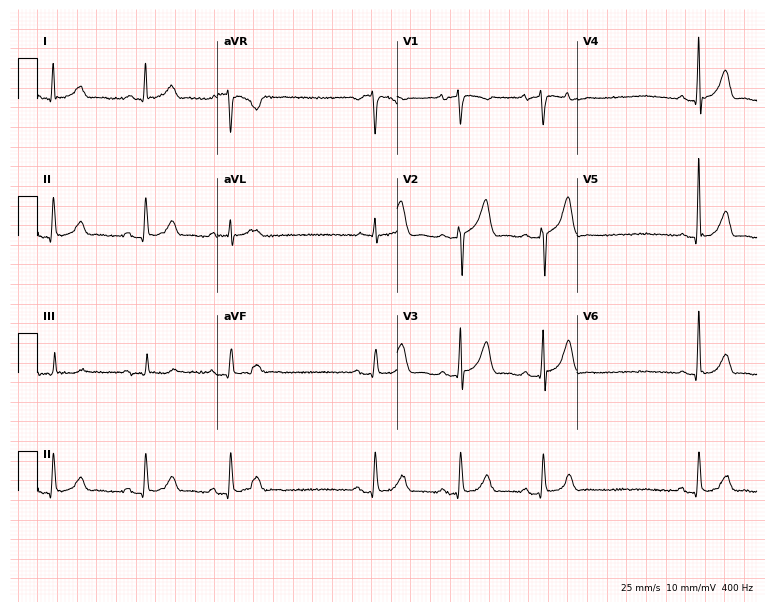
Electrocardiogram (7.3-second recording at 400 Hz), an 80-year-old male. Overall reading on record: normal ECG.